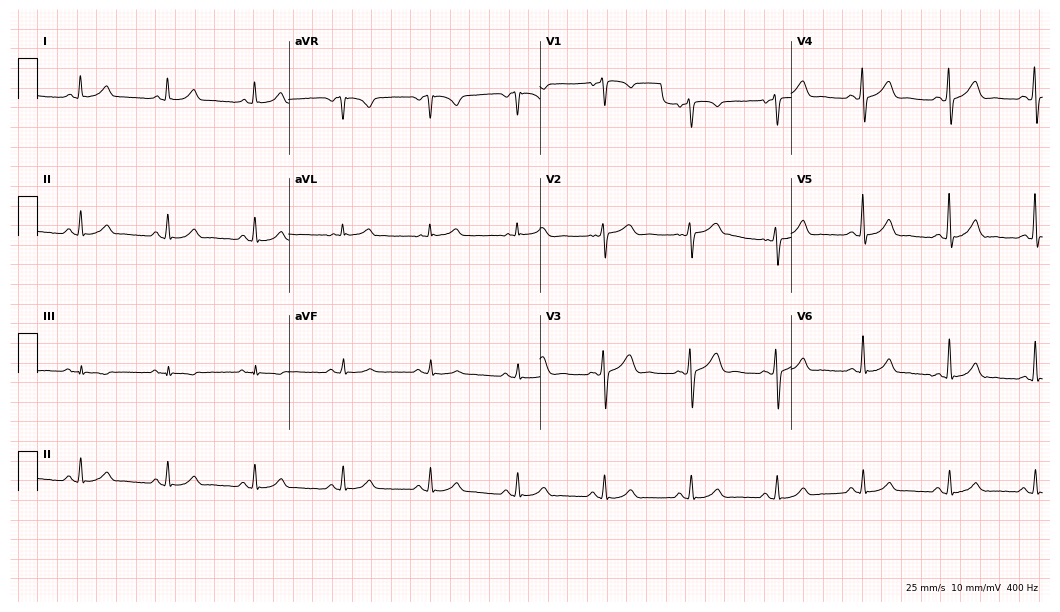
12-lead ECG from a male, 57 years old. Screened for six findings — first-degree AV block, right bundle branch block, left bundle branch block, sinus bradycardia, atrial fibrillation, sinus tachycardia — none is recorded. Other findings, if any, are not listed.